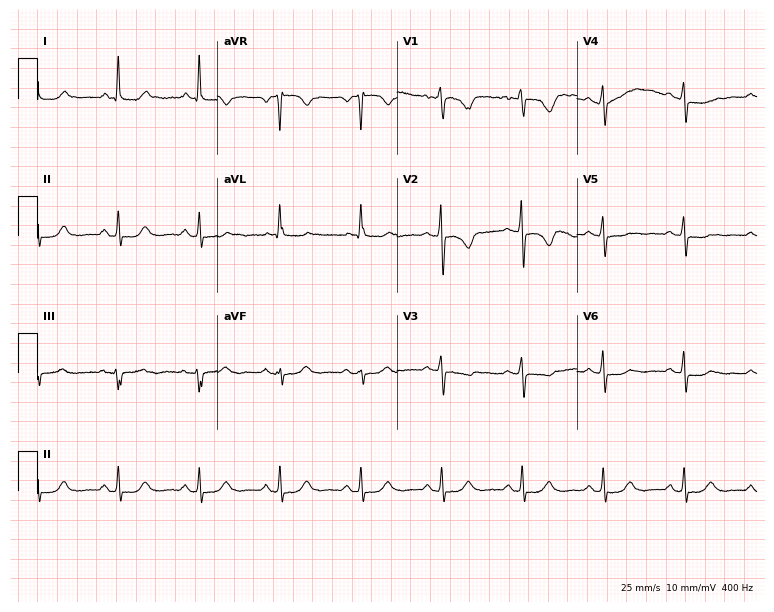
ECG (7.3-second recording at 400 Hz) — a woman, 62 years old. Screened for six findings — first-degree AV block, right bundle branch block, left bundle branch block, sinus bradycardia, atrial fibrillation, sinus tachycardia — none is recorded.